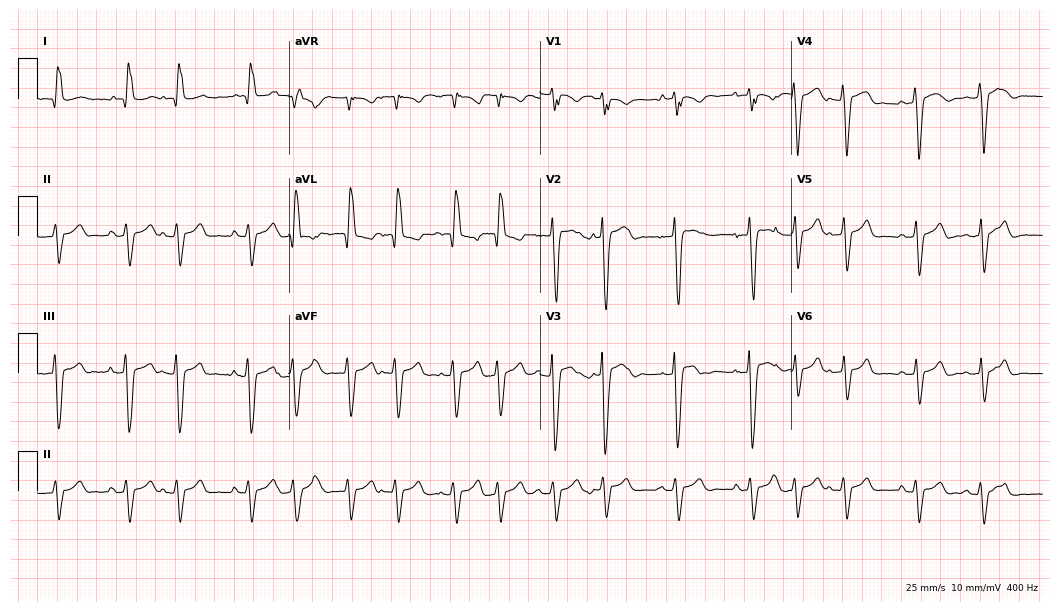
12-lead ECG from a female, 42 years old (10.2-second recording at 400 Hz). No first-degree AV block, right bundle branch block, left bundle branch block, sinus bradycardia, atrial fibrillation or sinus tachycardia recorded for this tracing. Only these six findings were labelled.